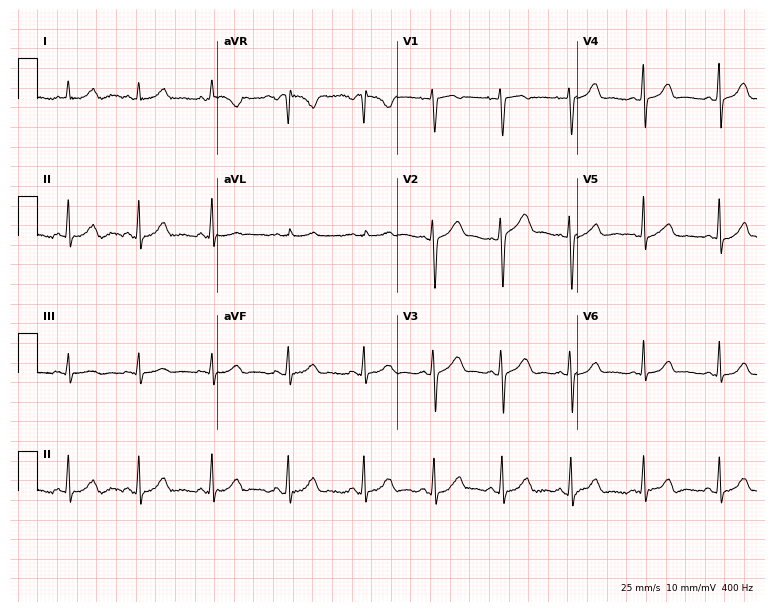
Standard 12-lead ECG recorded from a woman, 25 years old. Read as a normal ECG.